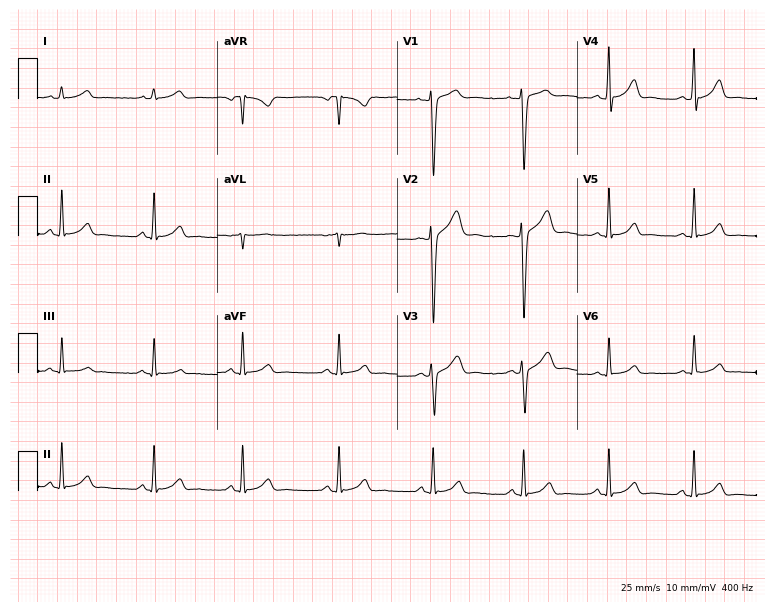
12-lead ECG from a 30-year-old man (7.3-second recording at 400 Hz). No first-degree AV block, right bundle branch block (RBBB), left bundle branch block (LBBB), sinus bradycardia, atrial fibrillation (AF) or sinus tachycardia recorded for this tracing. Other findings, if any, are not listed.